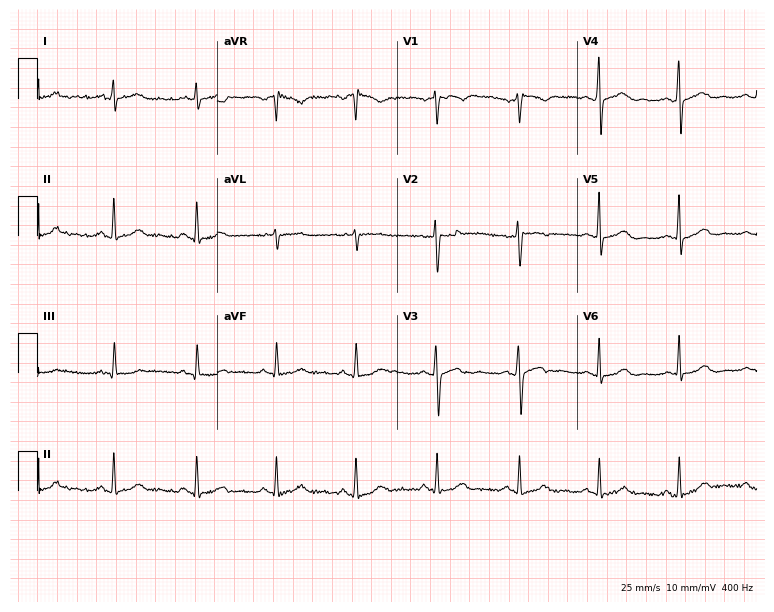
ECG — a 23-year-old woman. Labelled as a normal ECG.